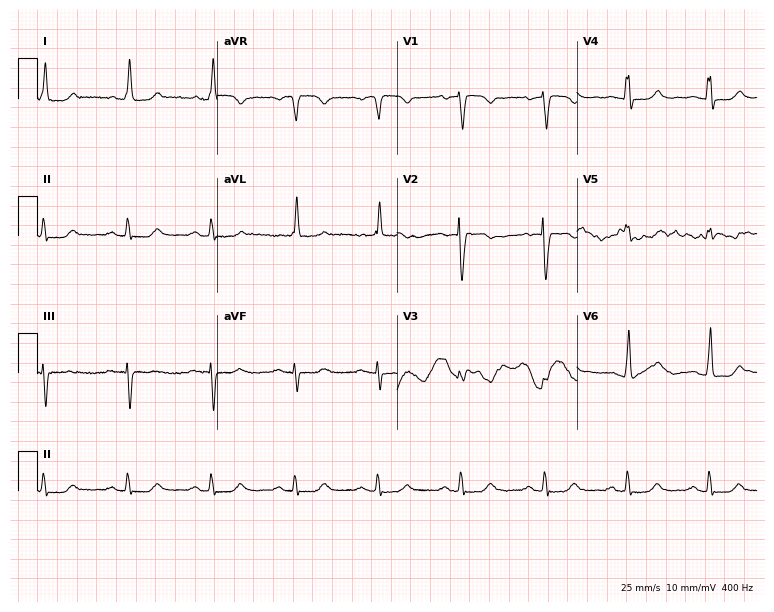
Standard 12-lead ECG recorded from an 84-year-old woman (7.3-second recording at 400 Hz). Read as a normal ECG.